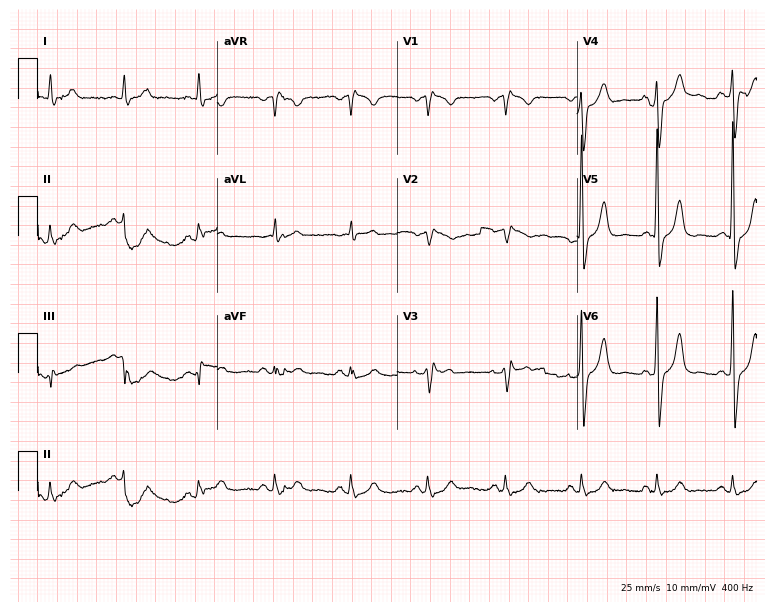
ECG (7.3-second recording at 400 Hz) — a 66-year-old man. Screened for six findings — first-degree AV block, right bundle branch block, left bundle branch block, sinus bradycardia, atrial fibrillation, sinus tachycardia — none is recorded. Findings outside these six are not listed.